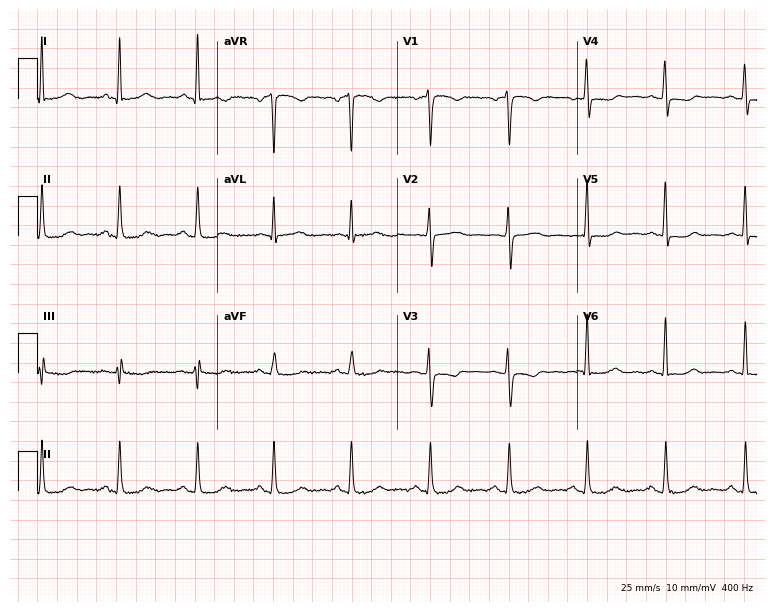
12-lead ECG from a 54-year-old woman. No first-degree AV block, right bundle branch block (RBBB), left bundle branch block (LBBB), sinus bradycardia, atrial fibrillation (AF) or sinus tachycardia recorded for this tracing.